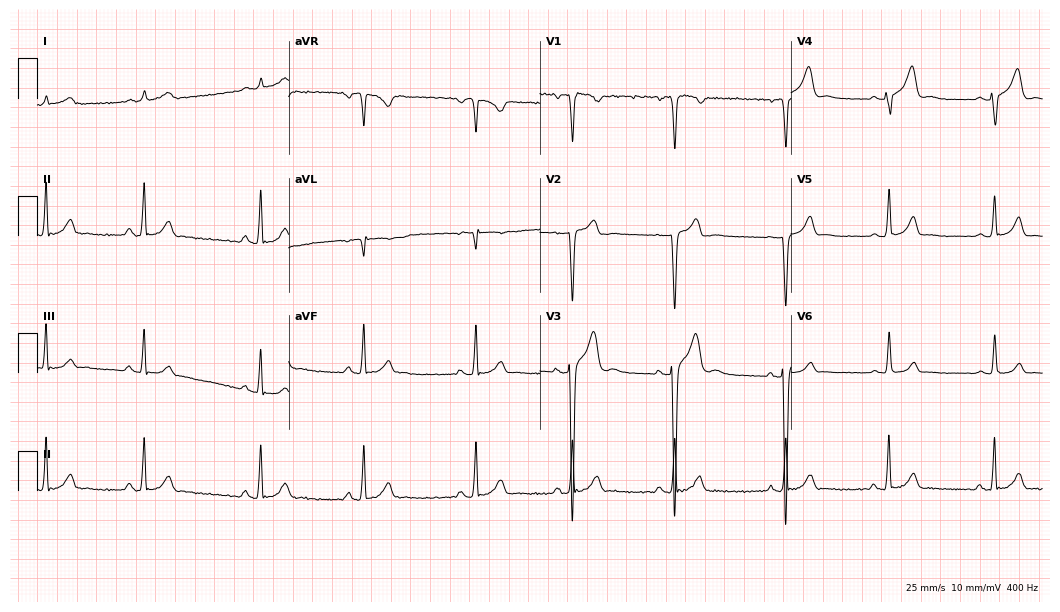
Resting 12-lead electrocardiogram. Patient: a male, 21 years old. None of these six findings is recorded: first-degree AV block, right bundle branch block (RBBB), left bundle branch block (LBBB), sinus bradycardia, atrial fibrillation (AF), sinus tachycardia. Only these six findings were labelled.